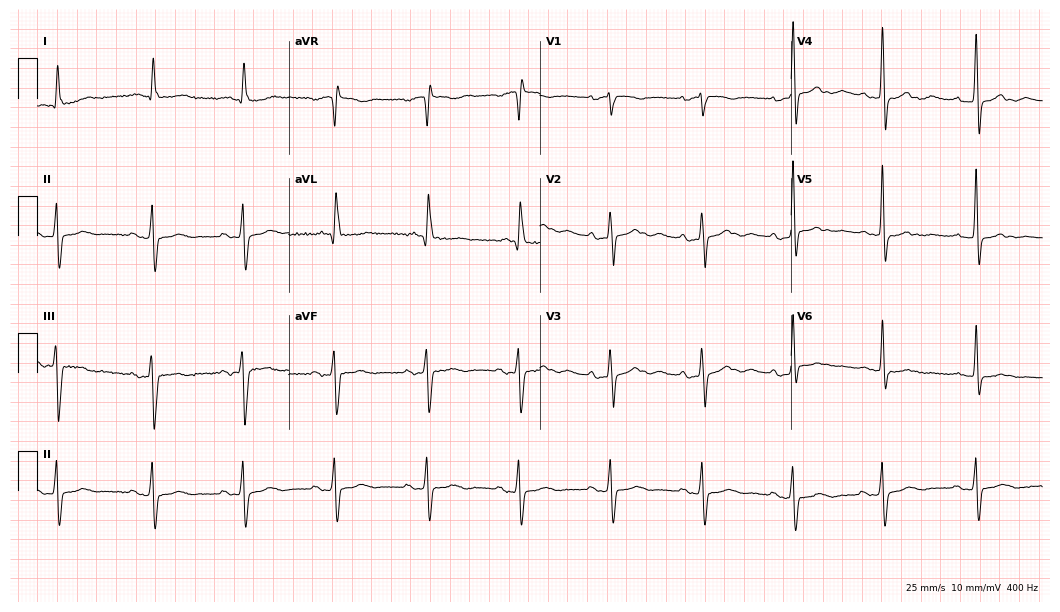
Electrocardiogram (10.2-second recording at 400 Hz), a female patient, 81 years old. Of the six screened findings (first-degree AV block, right bundle branch block, left bundle branch block, sinus bradycardia, atrial fibrillation, sinus tachycardia), none is recorded.